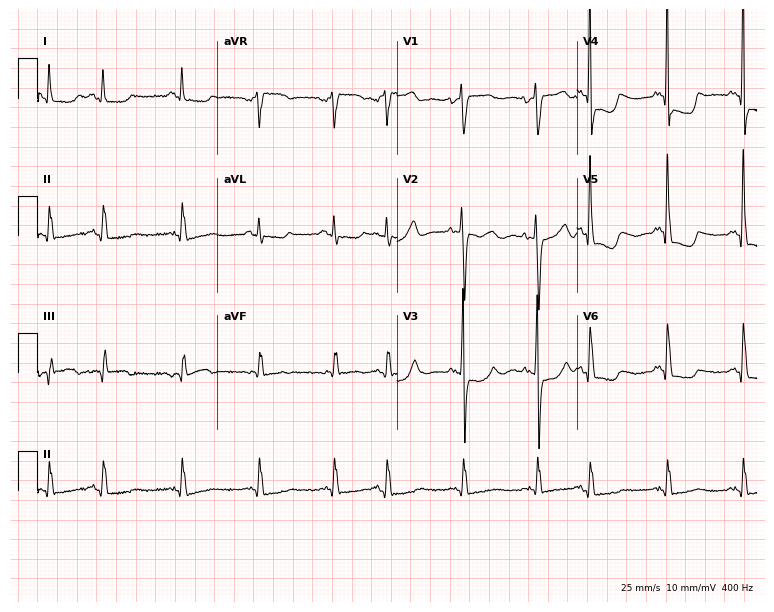
12-lead ECG (7.3-second recording at 400 Hz) from a 60-year-old female patient. Screened for six findings — first-degree AV block, right bundle branch block (RBBB), left bundle branch block (LBBB), sinus bradycardia, atrial fibrillation (AF), sinus tachycardia — none is recorded.